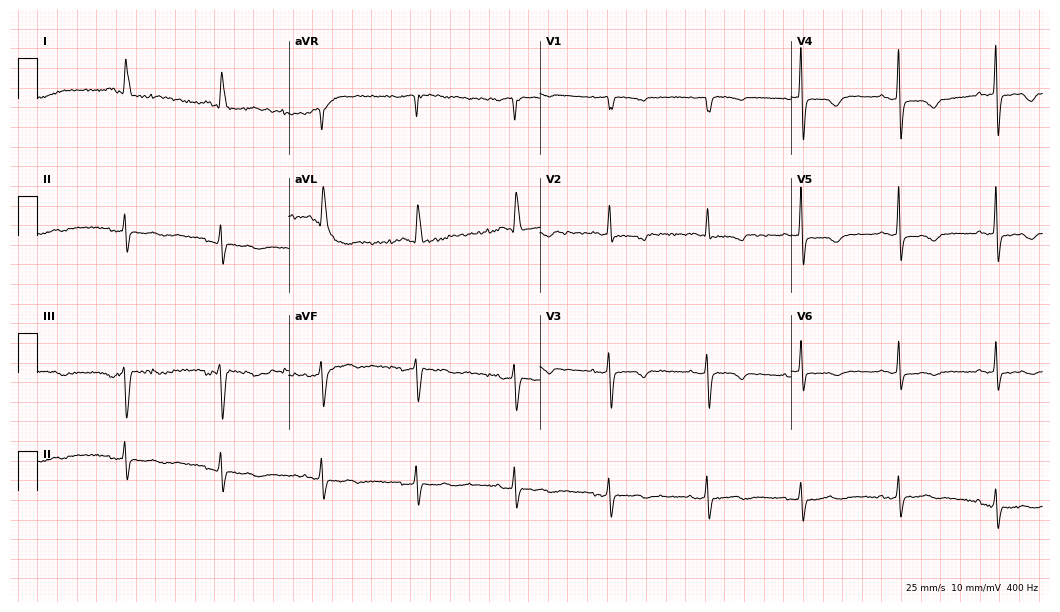
12-lead ECG from an 85-year-old female. Screened for six findings — first-degree AV block, right bundle branch block, left bundle branch block, sinus bradycardia, atrial fibrillation, sinus tachycardia — none is recorded.